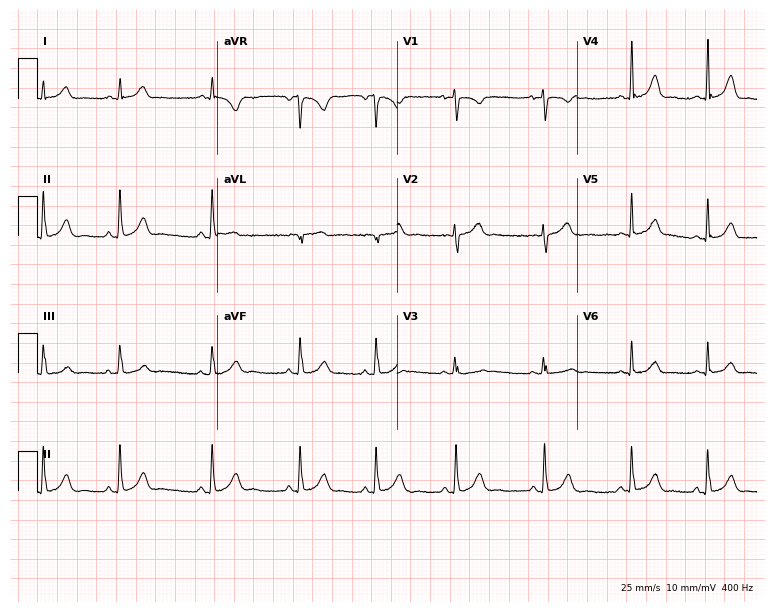
ECG — a female patient, 27 years old. Labelled as a normal ECG.